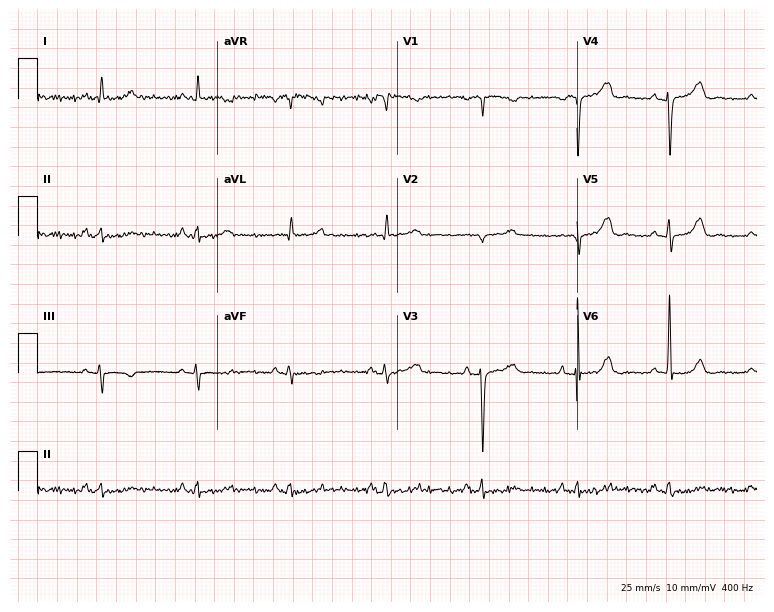
Standard 12-lead ECG recorded from a 39-year-old female (7.3-second recording at 400 Hz). Read as a normal ECG.